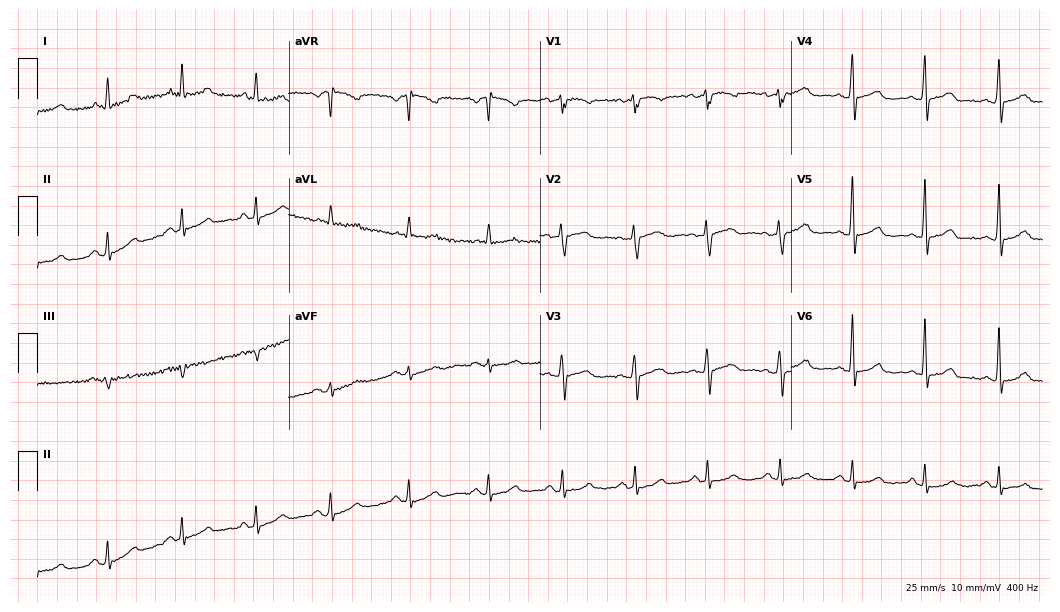
Standard 12-lead ECG recorded from a woman, 62 years old. Read as a normal ECG.